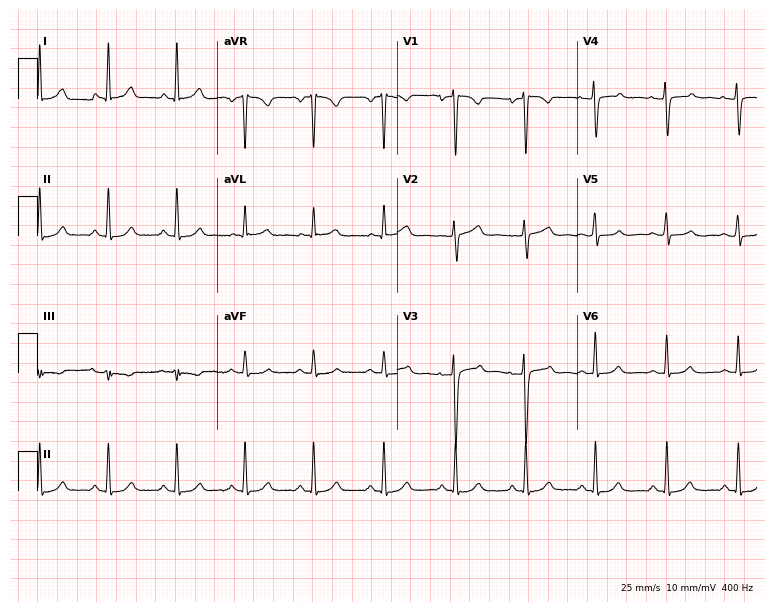
Electrocardiogram, a female patient, 28 years old. Overall reading on record: normal ECG.